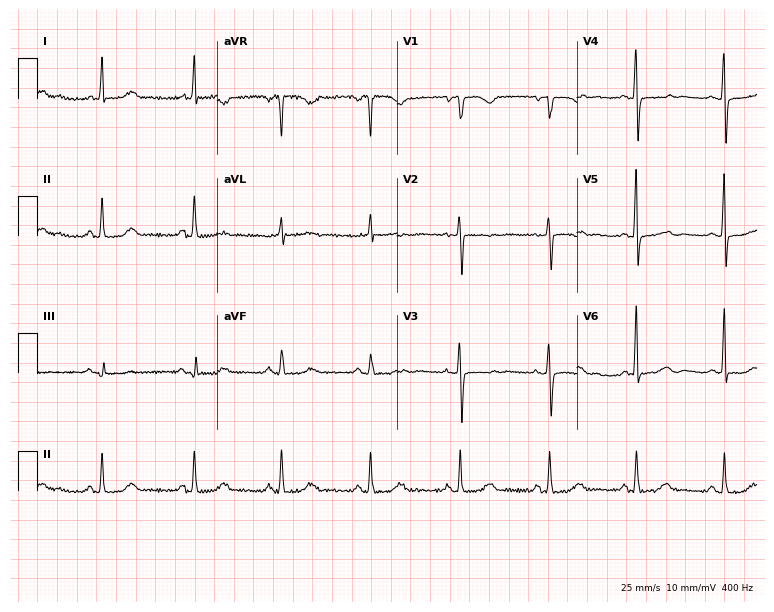
ECG (7.3-second recording at 400 Hz) — a woman, 74 years old. Screened for six findings — first-degree AV block, right bundle branch block (RBBB), left bundle branch block (LBBB), sinus bradycardia, atrial fibrillation (AF), sinus tachycardia — none is recorded. Findings outside these six are not listed.